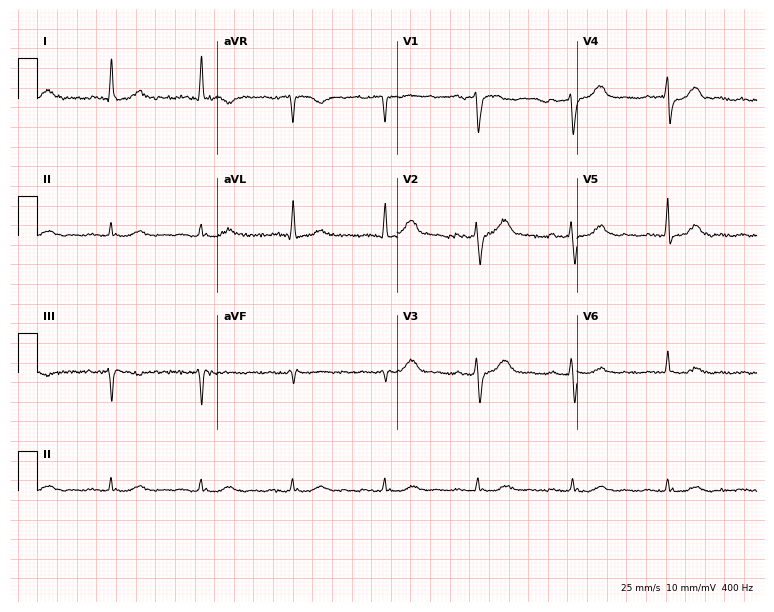
12-lead ECG from a man, 67 years old. Shows first-degree AV block.